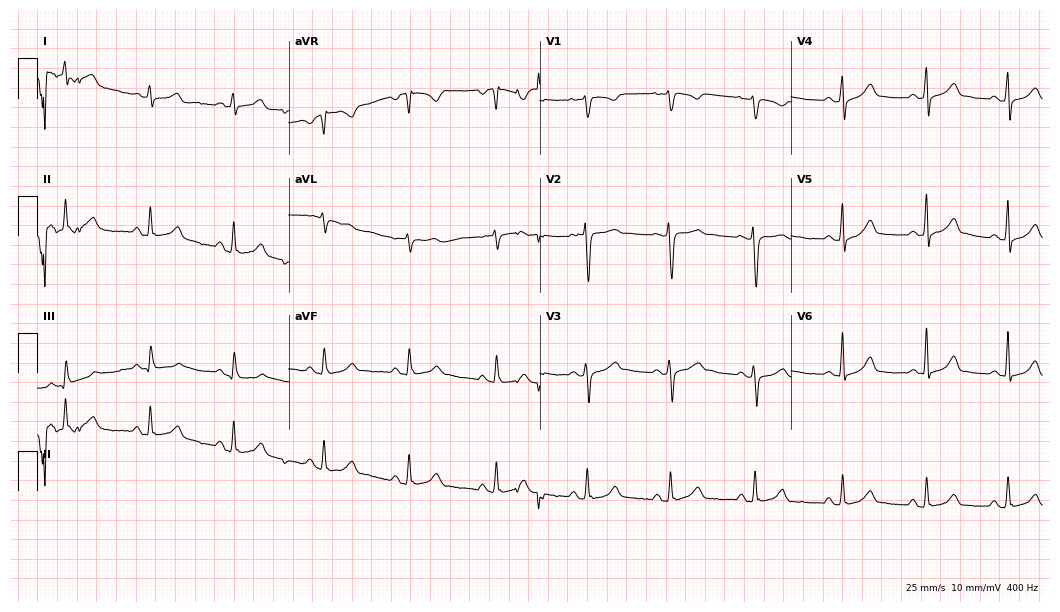
12-lead ECG from a female, 27 years old. Labelled as a normal ECG.